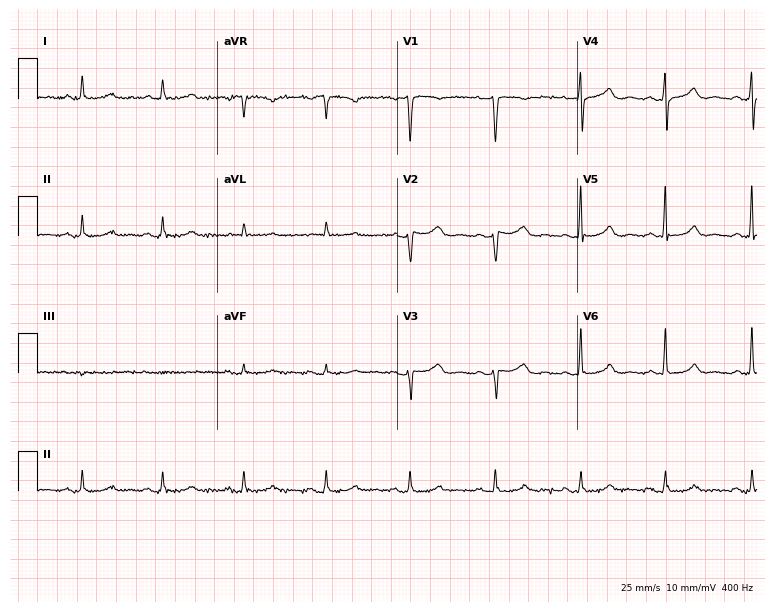
Electrocardiogram, a 57-year-old female patient. Of the six screened findings (first-degree AV block, right bundle branch block, left bundle branch block, sinus bradycardia, atrial fibrillation, sinus tachycardia), none is recorded.